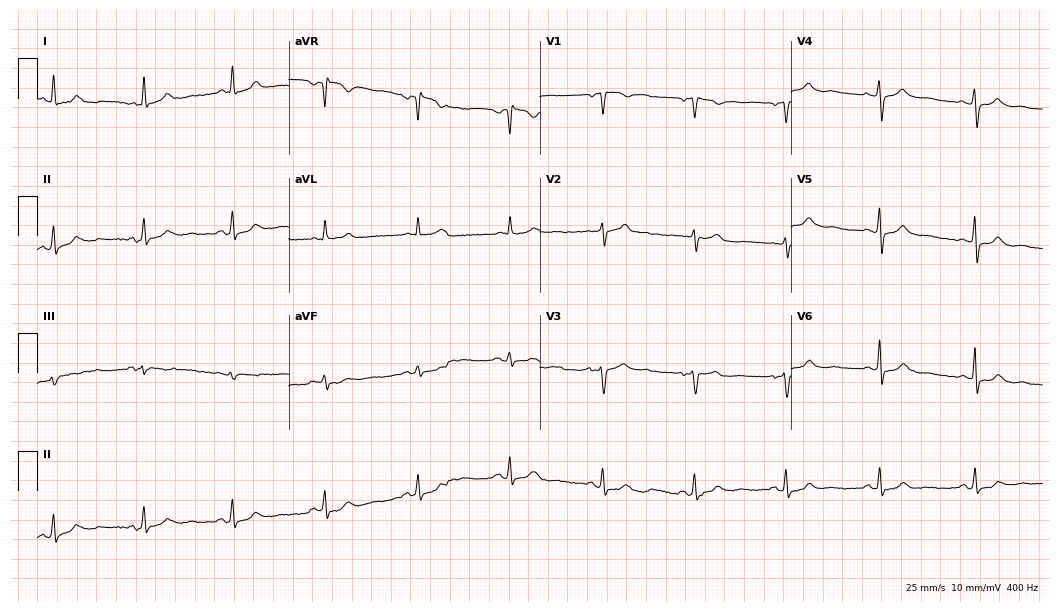
Resting 12-lead electrocardiogram (10.2-second recording at 400 Hz). Patient: a 56-year-old woman. Read as a normal ECG.